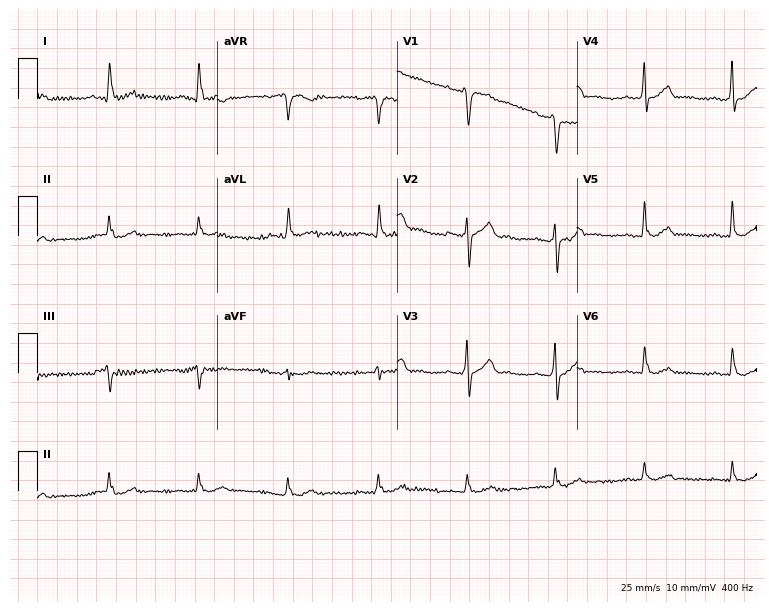
12-lead ECG from a 40-year-old man (7.3-second recording at 400 Hz). No first-degree AV block, right bundle branch block, left bundle branch block, sinus bradycardia, atrial fibrillation or sinus tachycardia recorded for this tracing. Other findings, if any, are not listed.